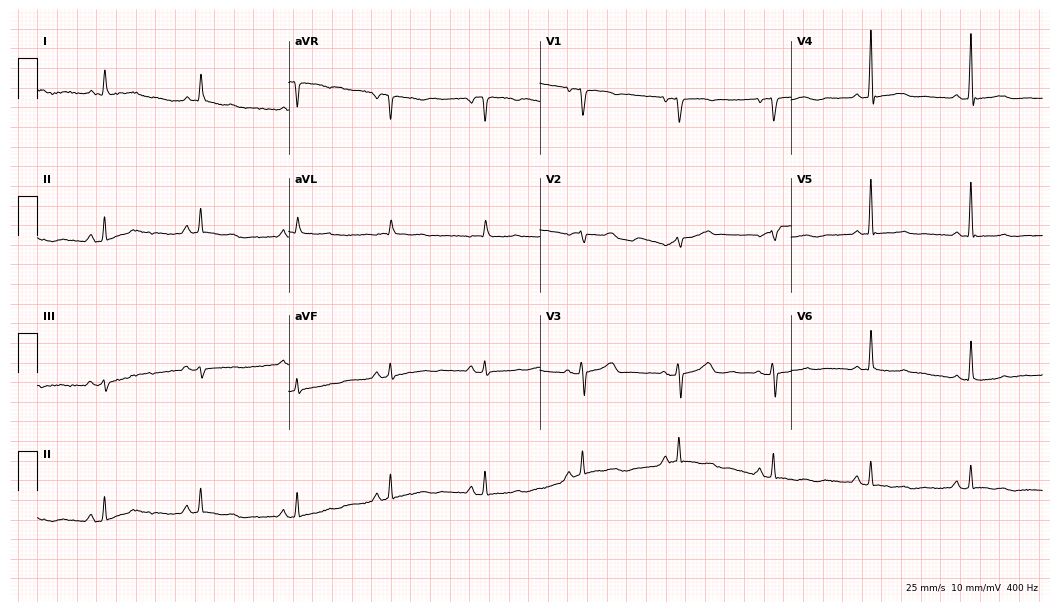
Resting 12-lead electrocardiogram (10.2-second recording at 400 Hz). Patient: an 82-year-old woman. None of these six findings is recorded: first-degree AV block, right bundle branch block, left bundle branch block, sinus bradycardia, atrial fibrillation, sinus tachycardia.